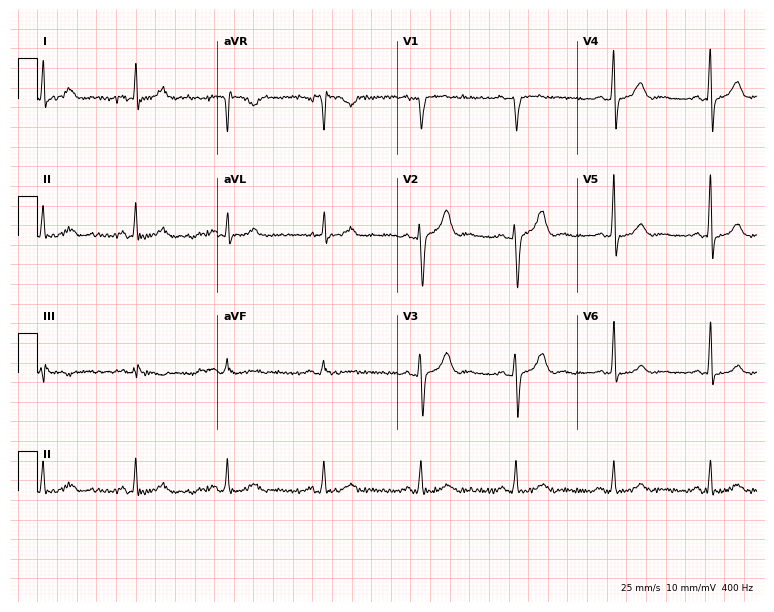
Resting 12-lead electrocardiogram (7.3-second recording at 400 Hz). Patient: a 33-year-old male. None of these six findings is recorded: first-degree AV block, right bundle branch block (RBBB), left bundle branch block (LBBB), sinus bradycardia, atrial fibrillation (AF), sinus tachycardia.